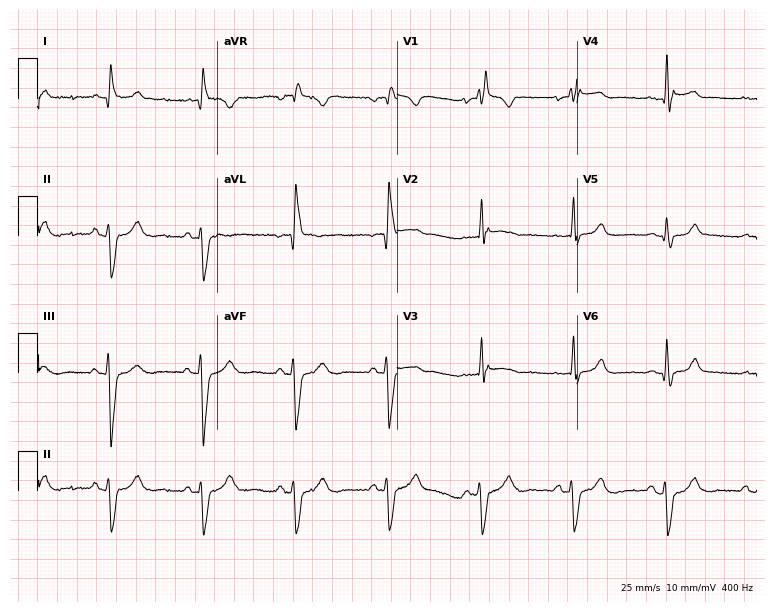
Electrocardiogram, a 69-year-old male. Interpretation includes right bundle branch block.